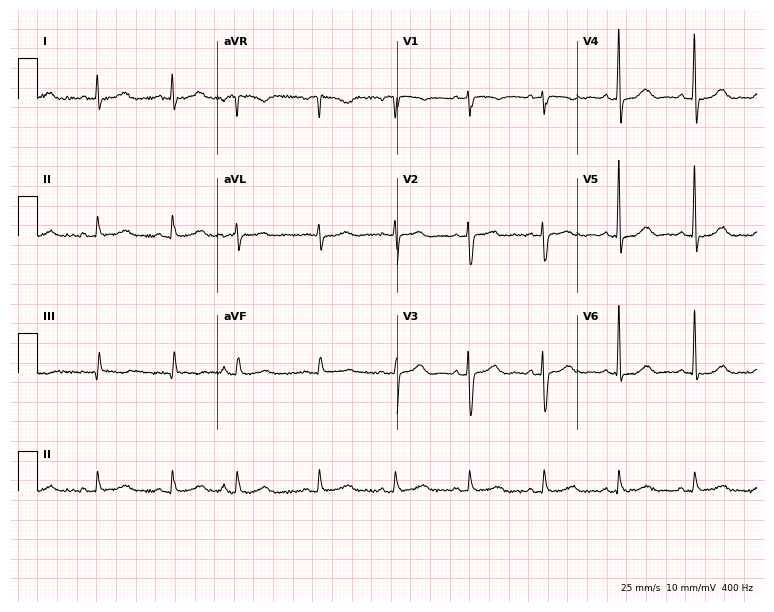
12-lead ECG (7.3-second recording at 400 Hz) from a female, 70 years old. Screened for six findings — first-degree AV block, right bundle branch block, left bundle branch block, sinus bradycardia, atrial fibrillation, sinus tachycardia — none is recorded. Findings outside these six are not listed.